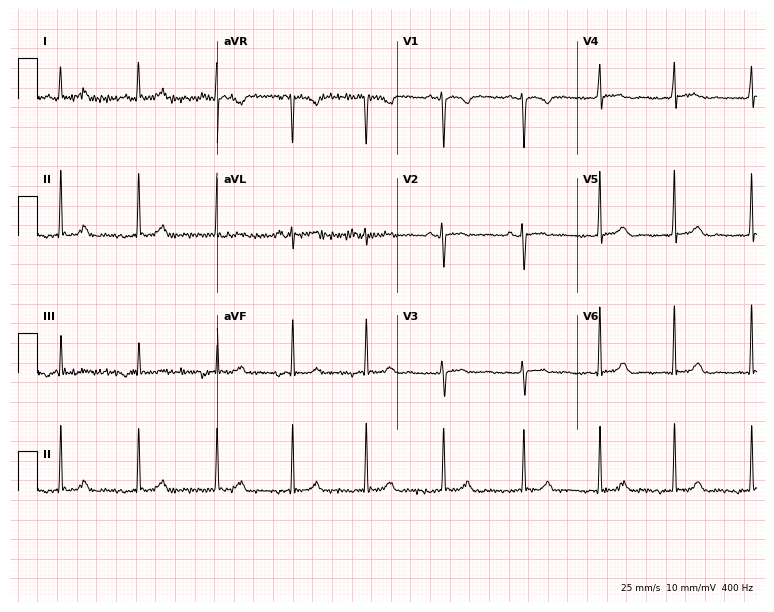
Standard 12-lead ECG recorded from a 20-year-old female patient (7.3-second recording at 400 Hz). Read as a normal ECG.